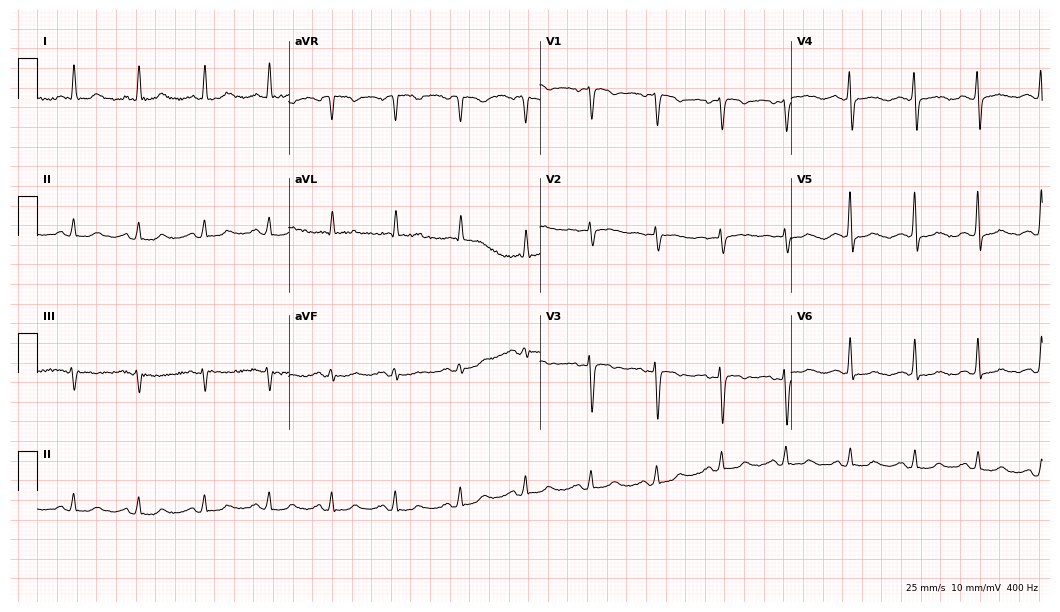
ECG — a female patient, 70 years old. Labelled as a normal ECG.